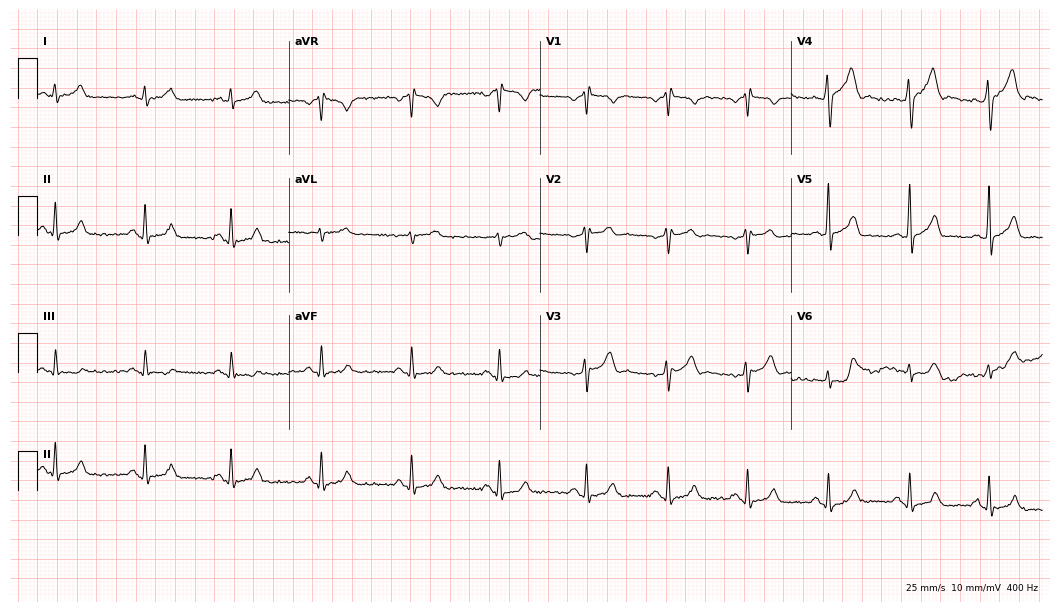
12-lead ECG from a male patient, 23 years old. Screened for six findings — first-degree AV block, right bundle branch block, left bundle branch block, sinus bradycardia, atrial fibrillation, sinus tachycardia — none is recorded.